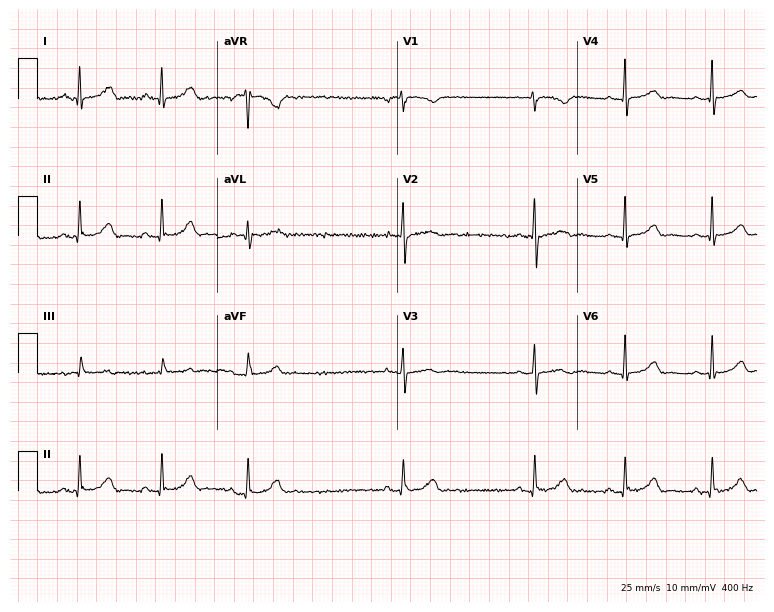
Electrocardiogram (7.3-second recording at 400 Hz), a 24-year-old woman. Of the six screened findings (first-degree AV block, right bundle branch block (RBBB), left bundle branch block (LBBB), sinus bradycardia, atrial fibrillation (AF), sinus tachycardia), none is recorded. Other findings, if any, are not listed.